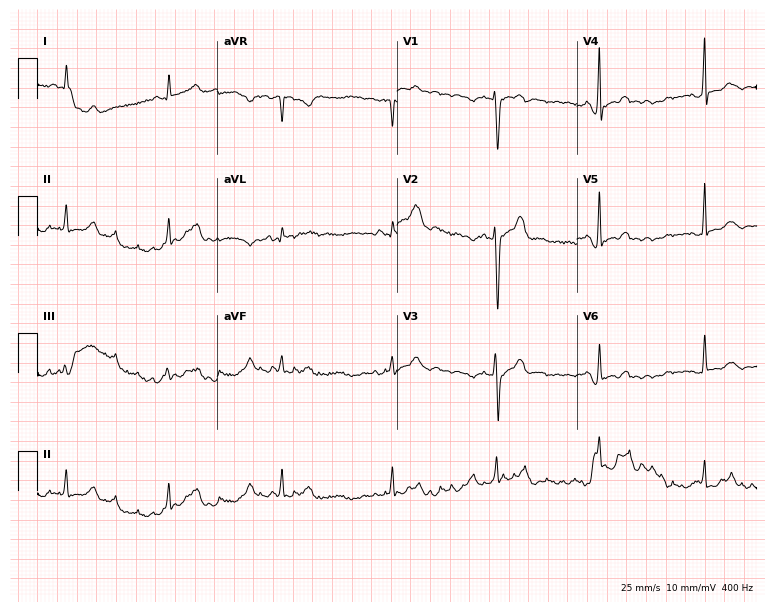
12-lead ECG from a male patient, 19 years old (7.3-second recording at 400 Hz). No first-degree AV block, right bundle branch block (RBBB), left bundle branch block (LBBB), sinus bradycardia, atrial fibrillation (AF) or sinus tachycardia recorded for this tracing.